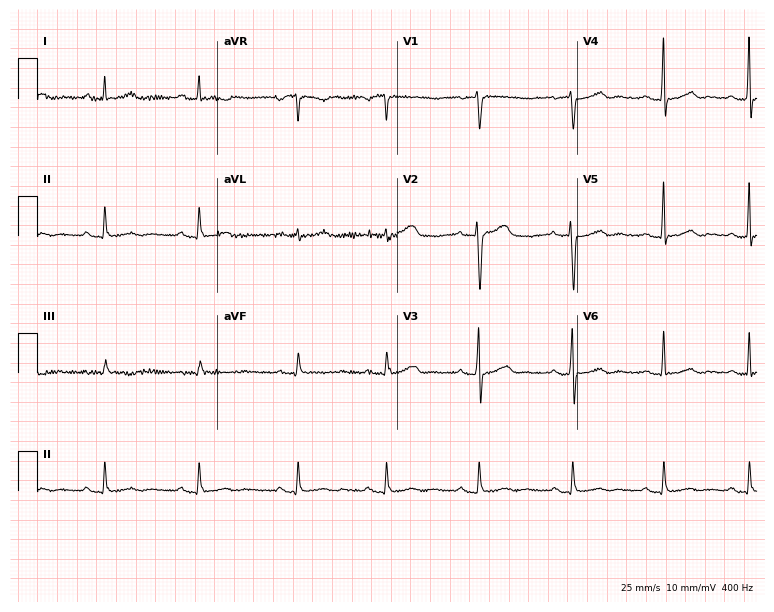
ECG — a 30-year-old female patient. Labelled as a normal ECG.